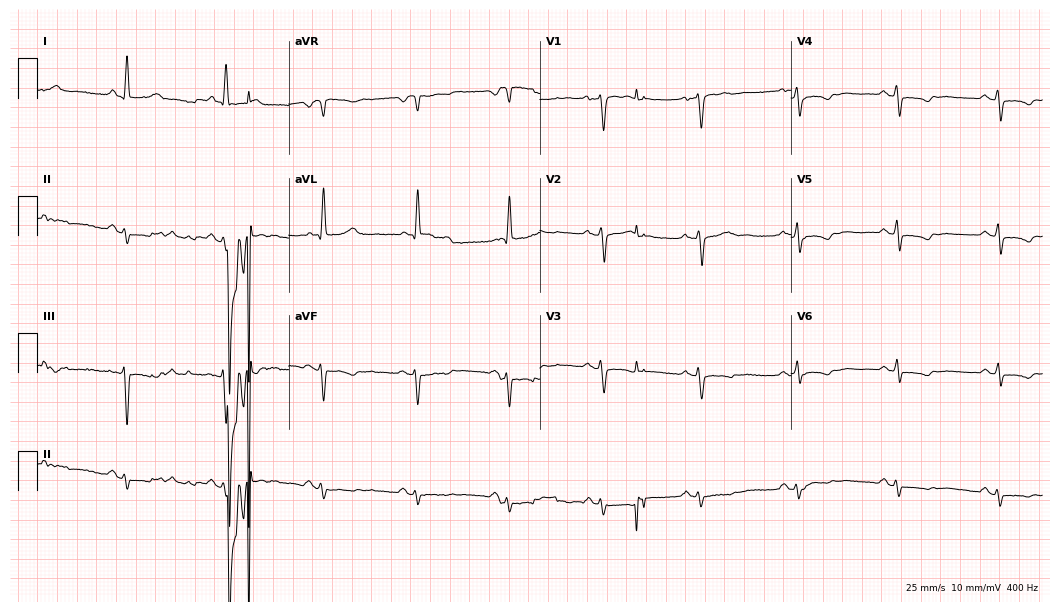
ECG — a 72-year-old male. Screened for six findings — first-degree AV block, right bundle branch block (RBBB), left bundle branch block (LBBB), sinus bradycardia, atrial fibrillation (AF), sinus tachycardia — none is recorded. Findings outside these six are not listed.